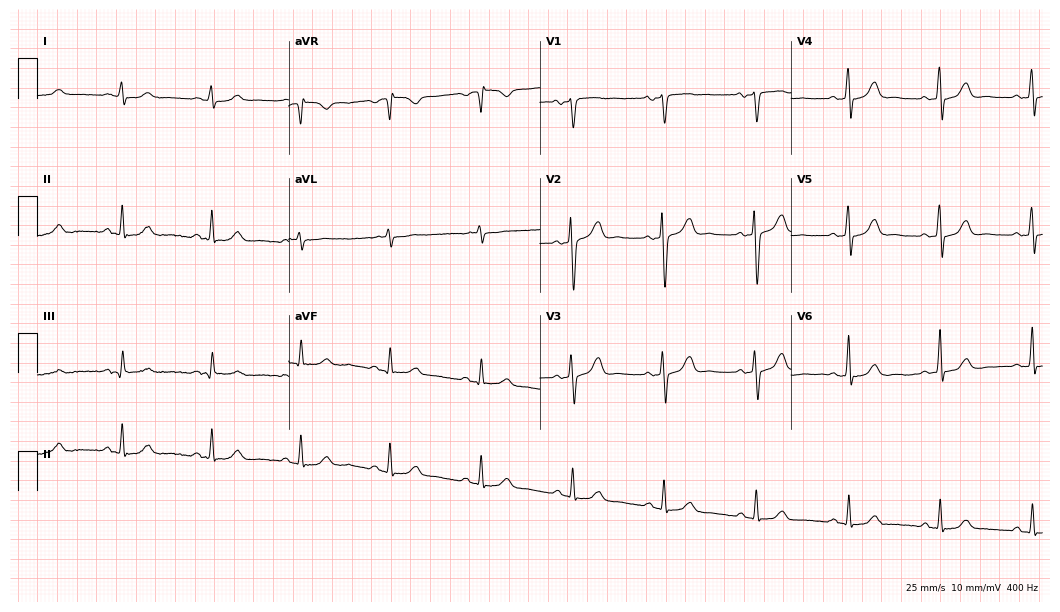
Standard 12-lead ECG recorded from a male patient, 47 years old (10.2-second recording at 400 Hz). Read as a normal ECG.